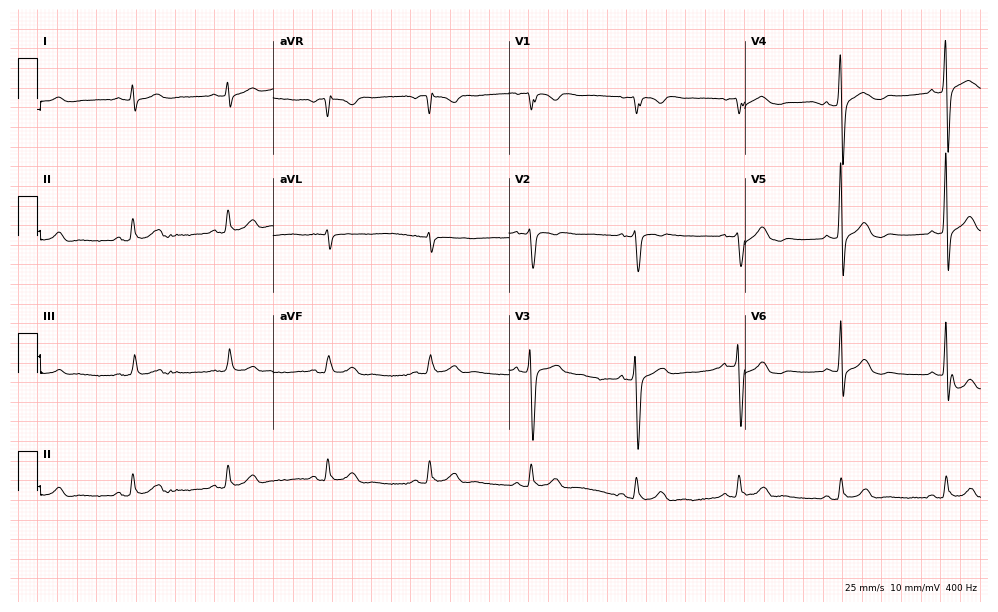
Electrocardiogram (9.6-second recording at 400 Hz), a 54-year-old male patient. Of the six screened findings (first-degree AV block, right bundle branch block, left bundle branch block, sinus bradycardia, atrial fibrillation, sinus tachycardia), none is recorded.